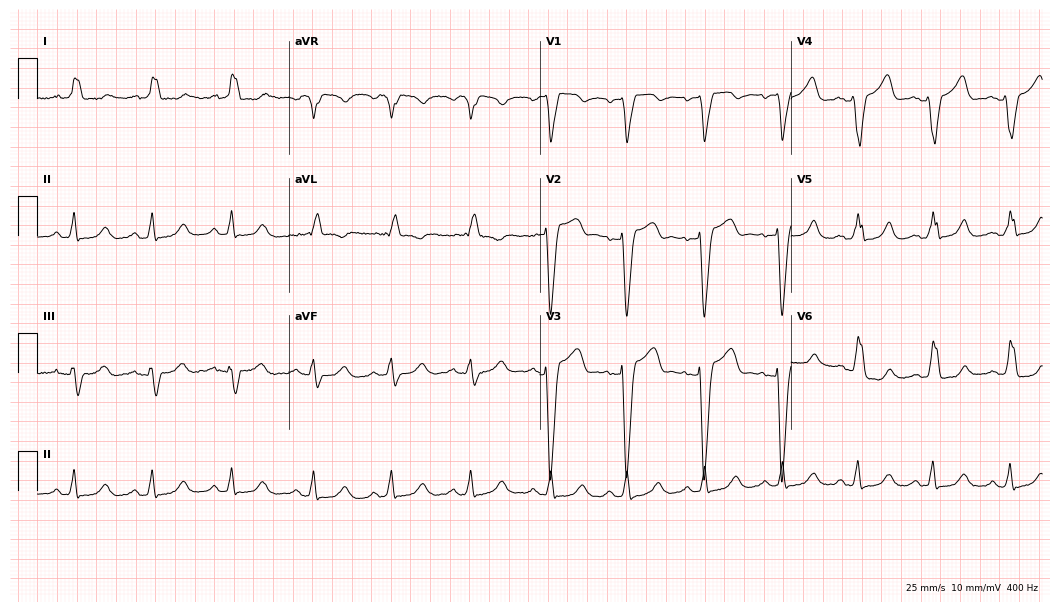
Resting 12-lead electrocardiogram. Patient: a woman, 56 years old. The tracing shows left bundle branch block.